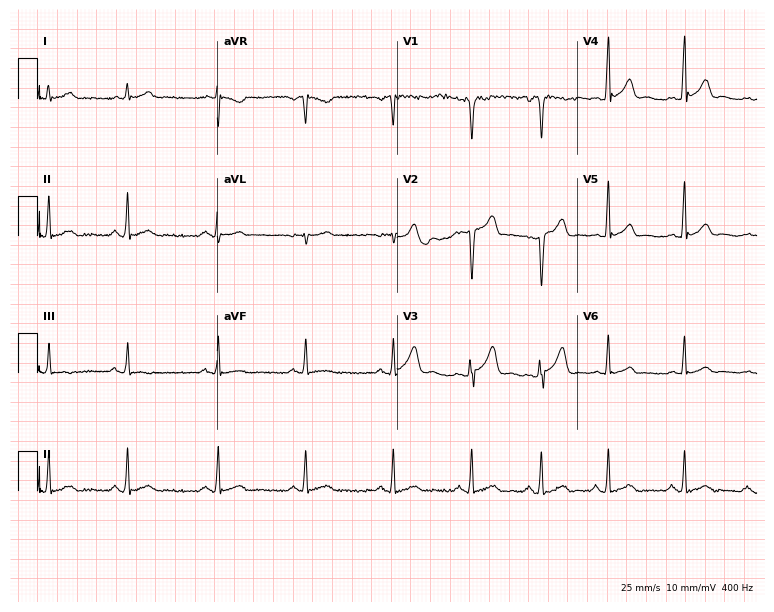
Electrocardiogram, a male, 31 years old. Of the six screened findings (first-degree AV block, right bundle branch block (RBBB), left bundle branch block (LBBB), sinus bradycardia, atrial fibrillation (AF), sinus tachycardia), none is recorded. Findings outside these six are not listed.